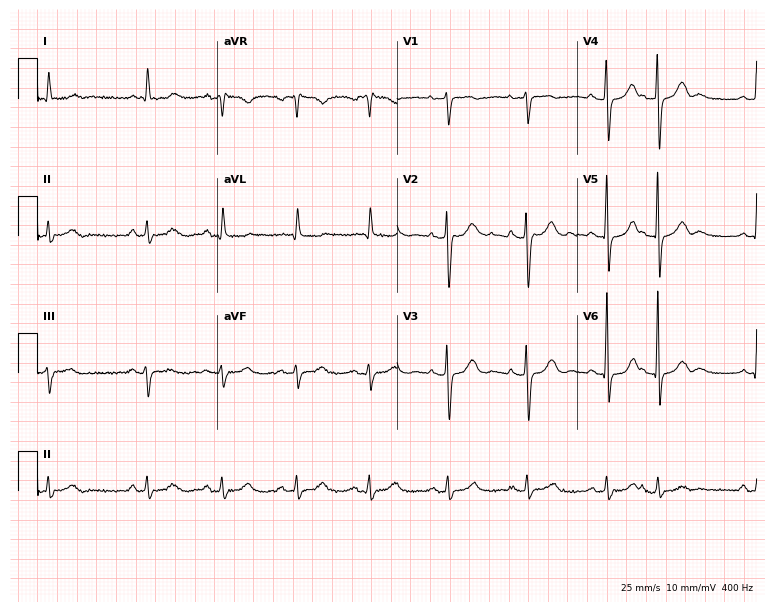
12-lead ECG (7.3-second recording at 400 Hz) from a female, 85 years old. Labelled as a normal ECG.